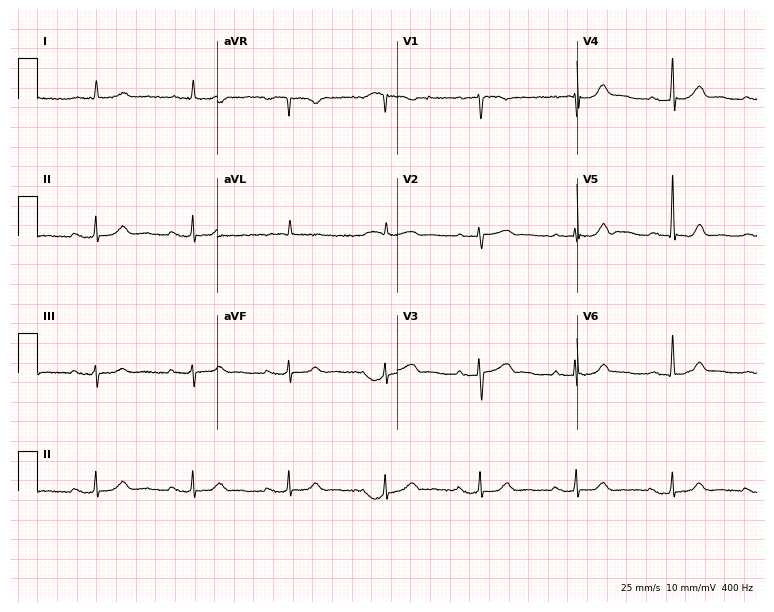
Standard 12-lead ECG recorded from a male patient, 78 years old (7.3-second recording at 400 Hz). The tracing shows first-degree AV block.